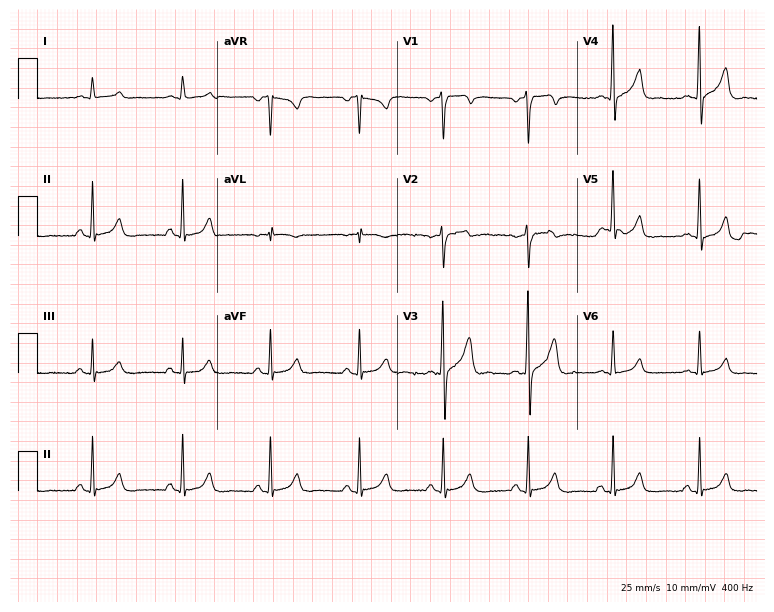
Standard 12-lead ECG recorded from a 41-year-old male patient. Read as a normal ECG.